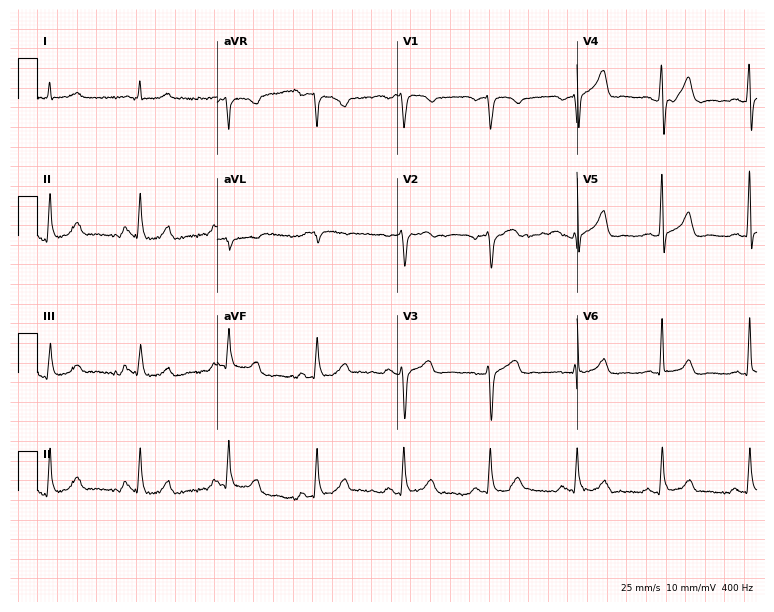
Electrocardiogram, a 66-year-old male. Overall reading on record: normal ECG.